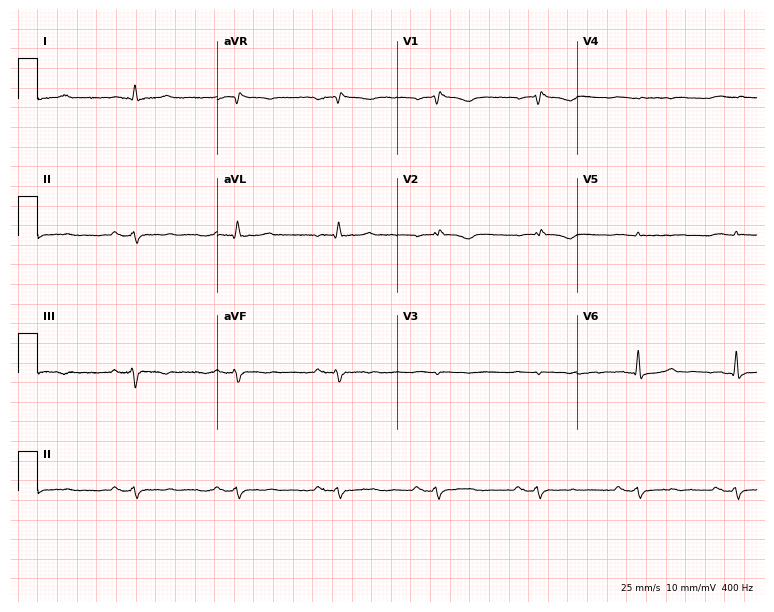
ECG — a 66-year-old female. Screened for six findings — first-degree AV block, right bundle branch block, left bundle branch block, sinus bradycardia, atrial fibrillation, sinus tachycardia — none is recorded.